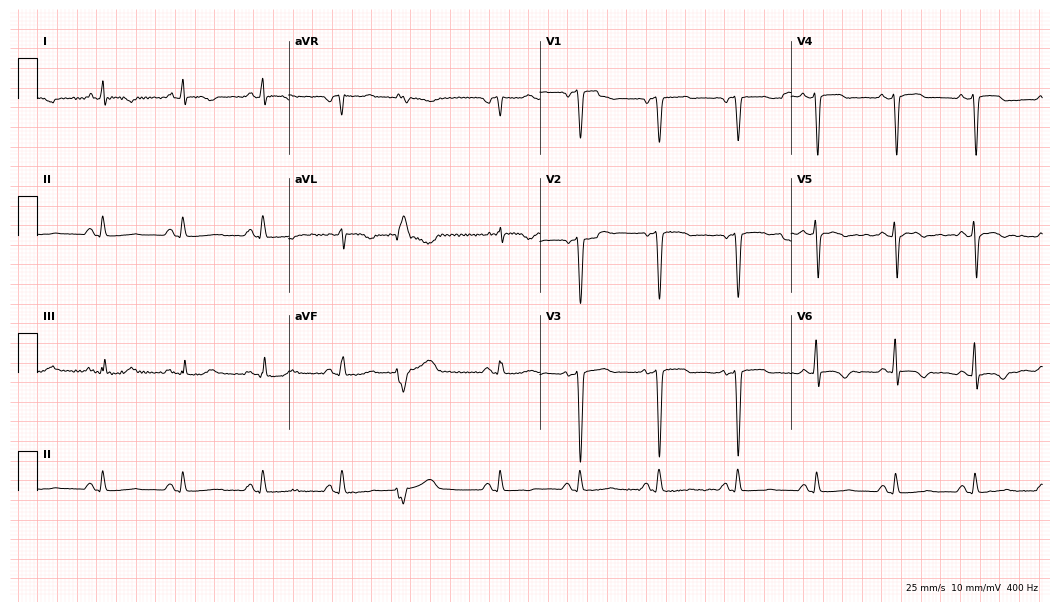
12-lead ECG from a 55-year-old male patient. Screened for six findings — first-degree AV block, right bundle branch block, left bundle branch block, sinus bradycardia, atrial fibrillation, sinus tachycardia — none is recorded. Only these six findings were labelled.